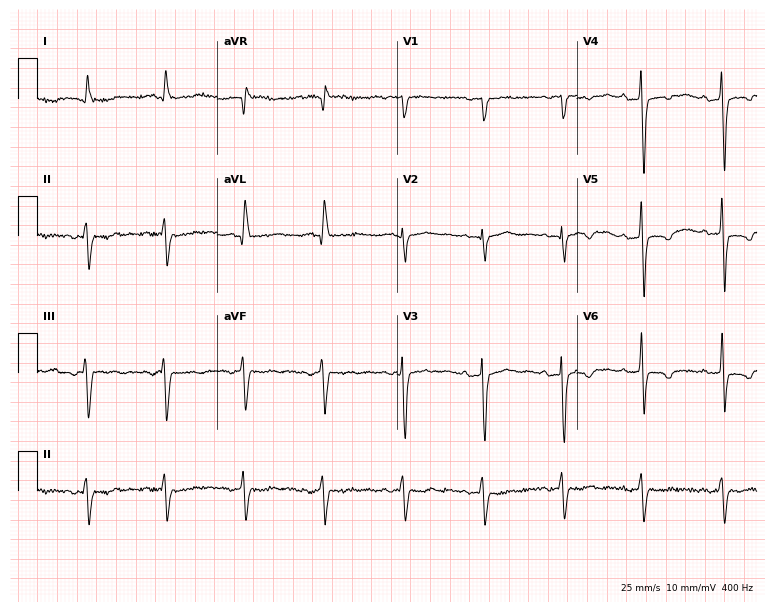
Resting 12-lead electrocardiogram. Patient: a 73-year-old female. None of these six findings is recorded: first-degree AV block, right bundle branch block, left bundle branch block, sinus bradycardia, atrial fibrillation, sinus tachycardia.